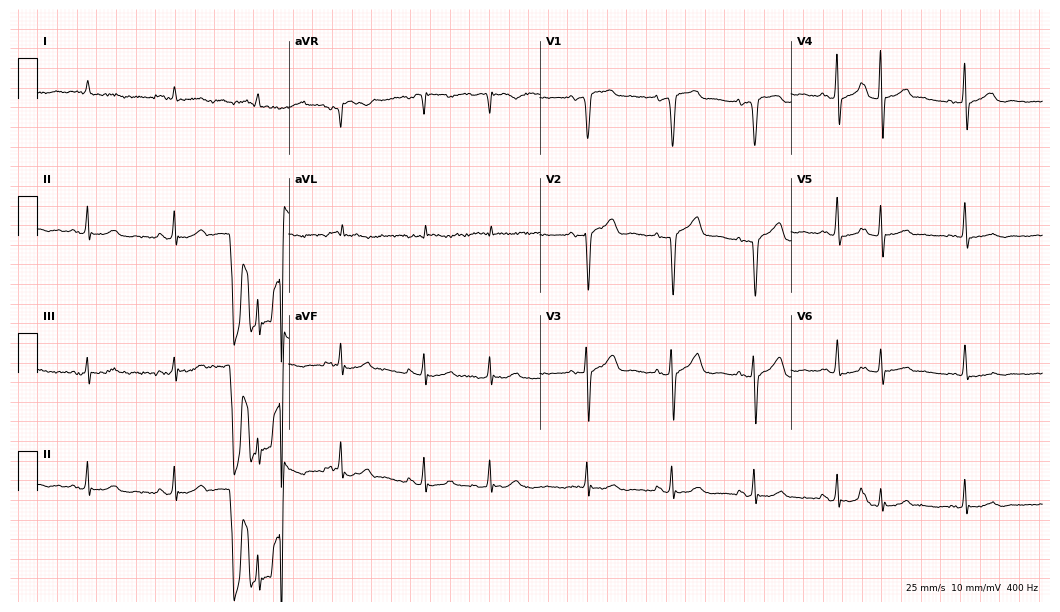
Electrocardiogram, a man, 74 years old. Of the six screened findings (first-degree AV block, right bundle branch block, left bundle branch block, sinus bradycardia, atrial fibrillation, sinus tachycardia), none is recorded.